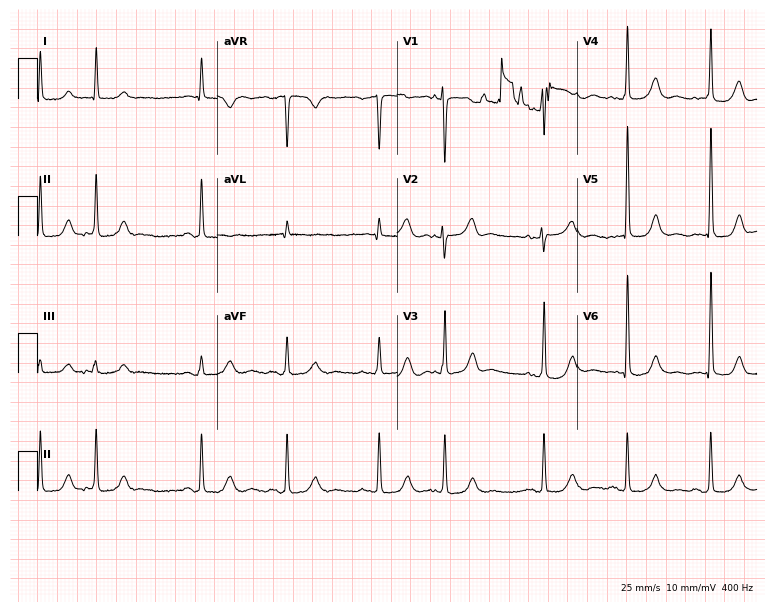
12-lead ECG from an 82-year-old woman. Screened for six findings — first-degree AV block, right bundle branch block (RBBB), left bundle branch block (LBBB), sinus bradycardia, atrial fibrillation (AF), sinus tachycardia — none is recorded. Only these six findings were labelled.